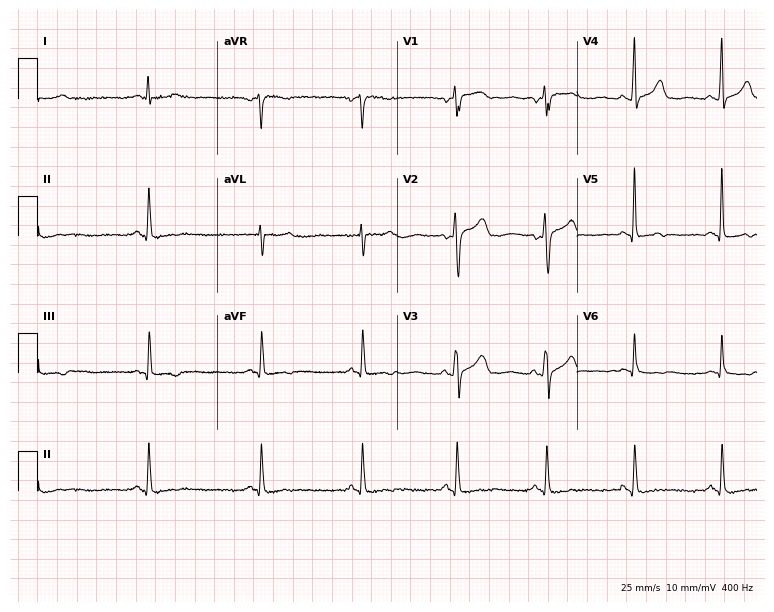
Standard 12-lead ECG recorded from a female patient, 76 years old (7.3-second recording at 400 Hz). None of these six findings is recorded: first-degree AV block, right bundle branch block, left bundle branch block, sinus bradycardia, atrial fibrillation, sinus tachycardia.